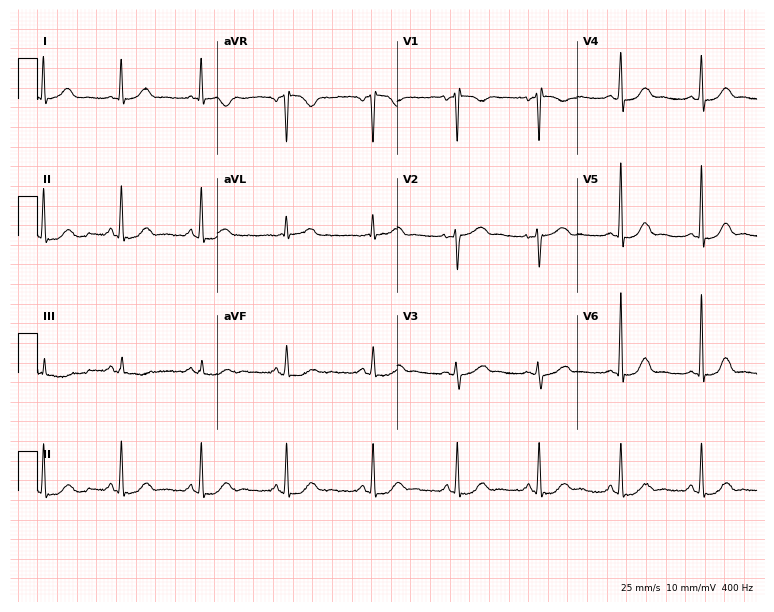
12-lead ECG from a 34-year-old female (7.3-second recording at 400 Hz). Recorded interpretation: within normal limits.